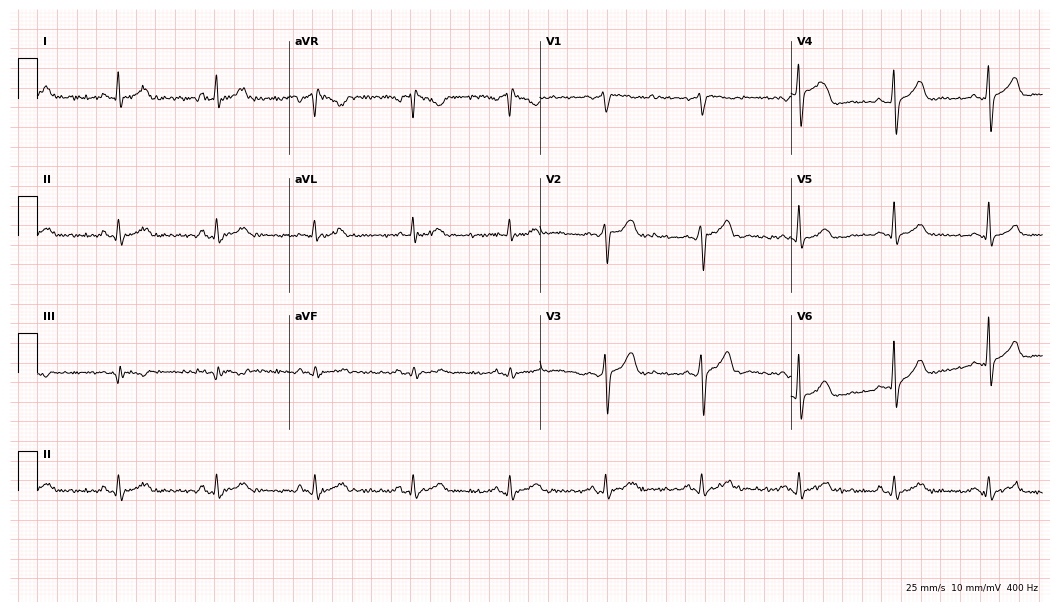
Resting 12-lead electrocardiogram (10.2-second recording at 400 Hz). Patient: a male, 43 years old. Read as a normal ECG.